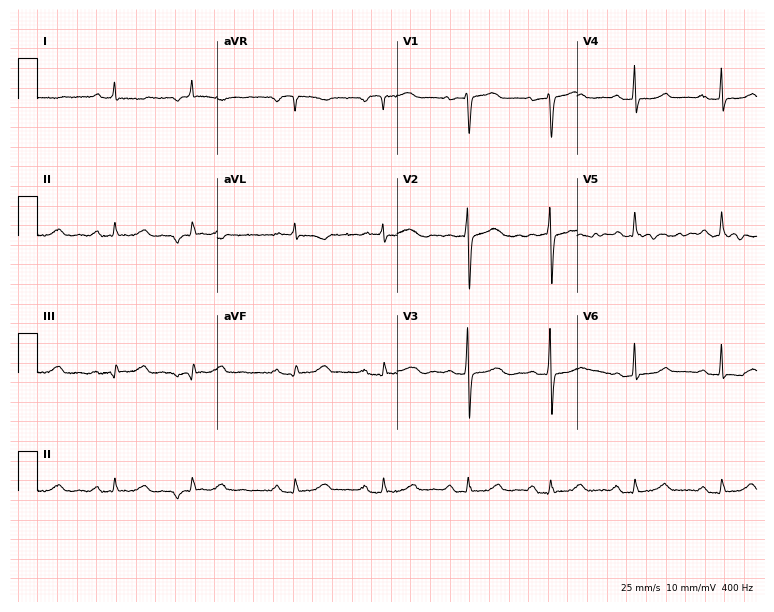
12-lead ECG from a female patient, 66 years old. No first-degree AV block, right bundle branch block, left bundle branch block, sinus bradycardia, atrial fibrillation or sinus tachycardia recorded for this tracing. Other findings, if any, are not listed.